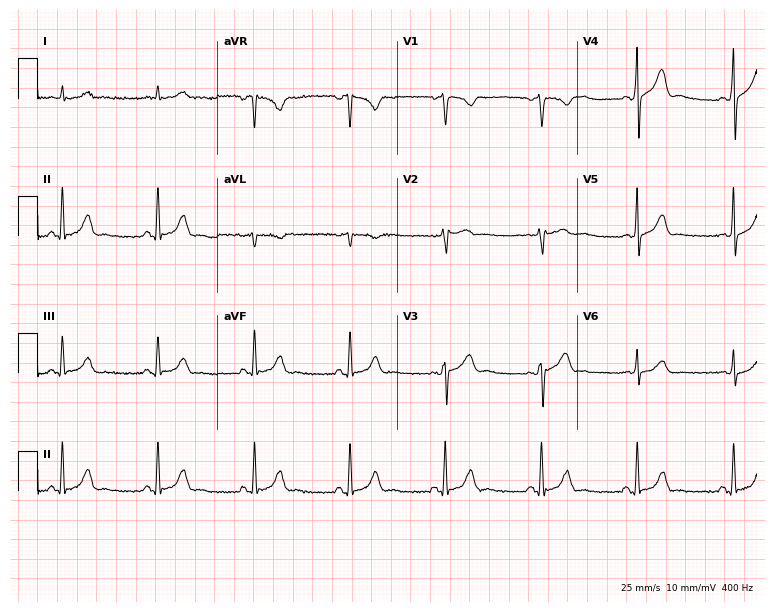
12-lead ECG from a man, 70 years old. Recorded interpretation: within normal limits.